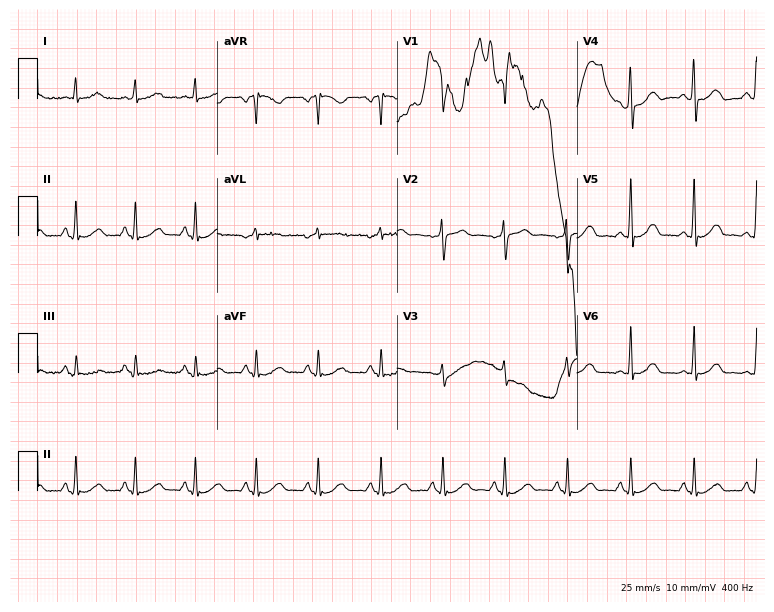
Resting 12-lead electrocardiogram (7.3-second recording at 400 Hz). Patient: a male, 46 years old. Read as a normal ECG.